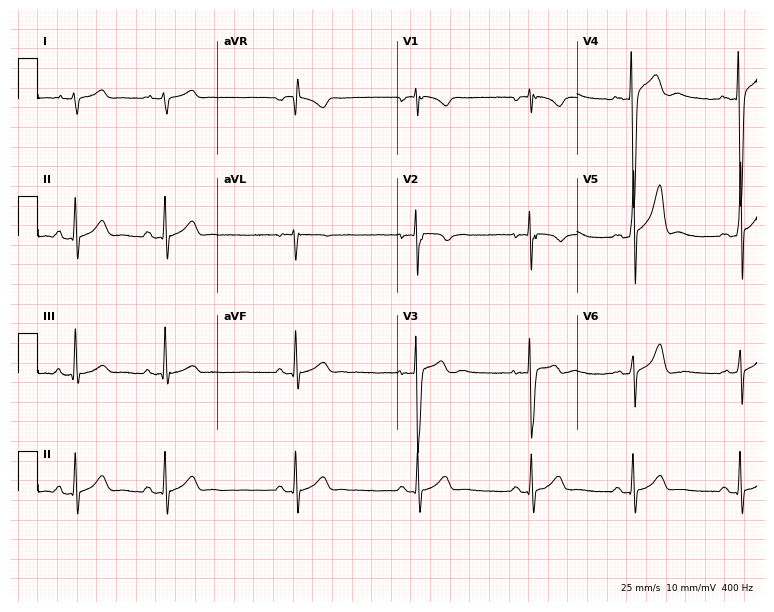
ECG — a 23-year-old male patient. Screened for six findings — first-degree AV block, right bundle branch block, left bundle branch block, sinus bradycardia, atrial fibrillation, sinus tachycardia — none is recorded.